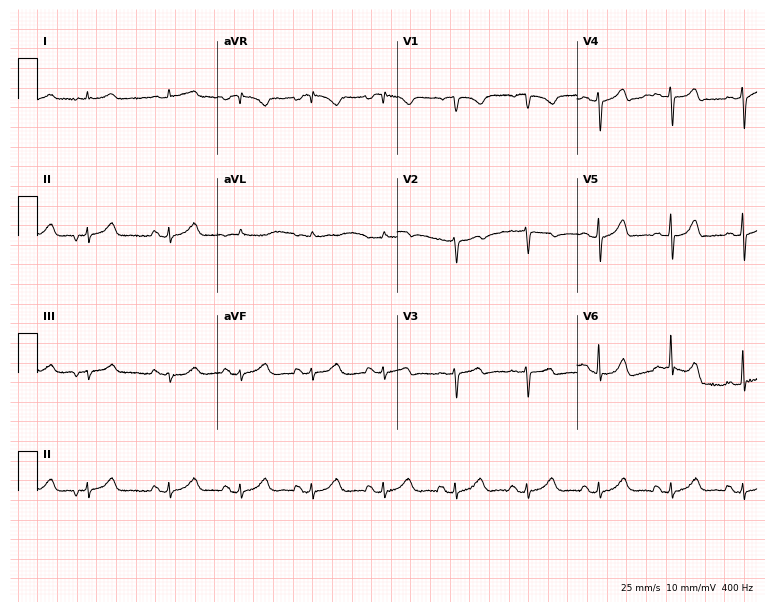
Electrocardiogram, an 83-year-old man. Of the six screened findings (first-degree AV block, right bundle branch block (RBBB), left bundle branch block (LBBB), sinus bradycardia, atrial fibrillation (AF), sinus tachycardia), none is recorded.